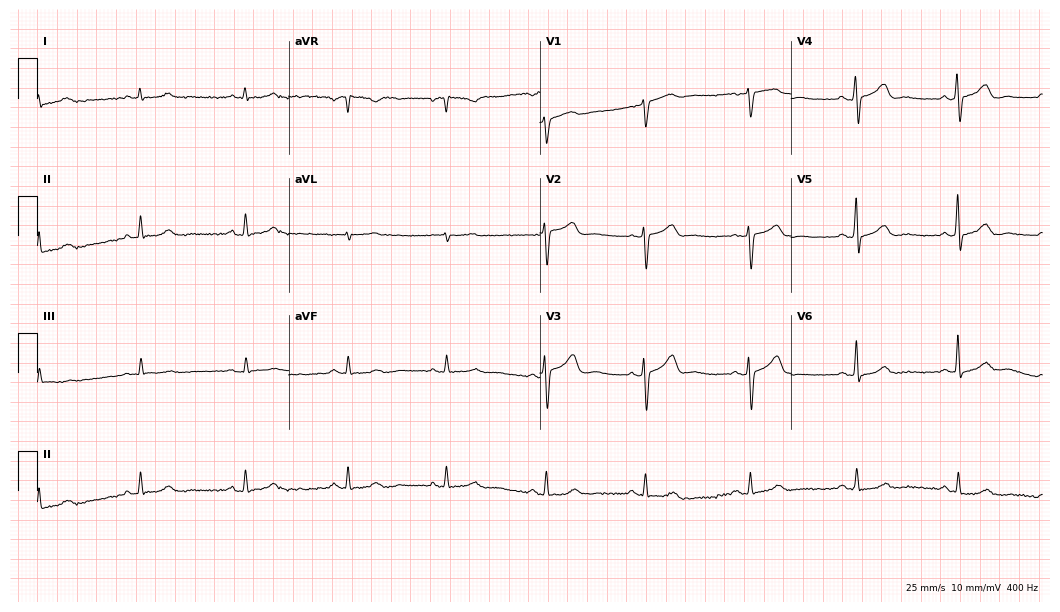
Electrocardiogram (10.2-second recording at 400 Hz), a man, 76 years old. Overall reading on record: normal ECG.